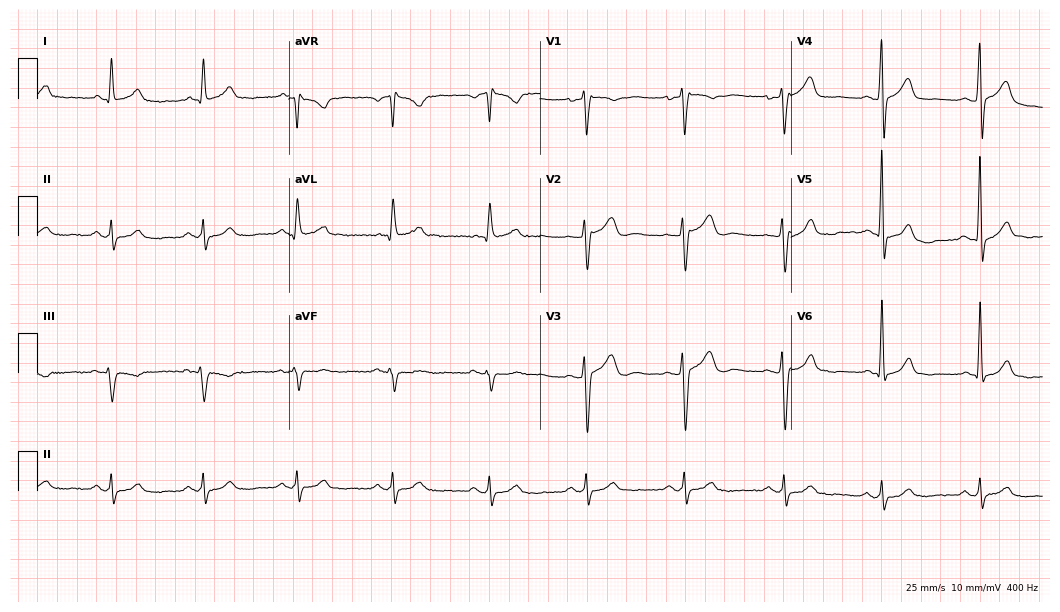
Resting 12-lead electrocardiogram (10.2-second recording at 400 Hz). Patient: a 61-year-old male. None of these six findings is recorded: first-degree AV block, right bundle branch block, left bundle branch block, sinus bradycardia, atrial fibrillation, sinus tachycardia. Other findings, if any, are not listed.